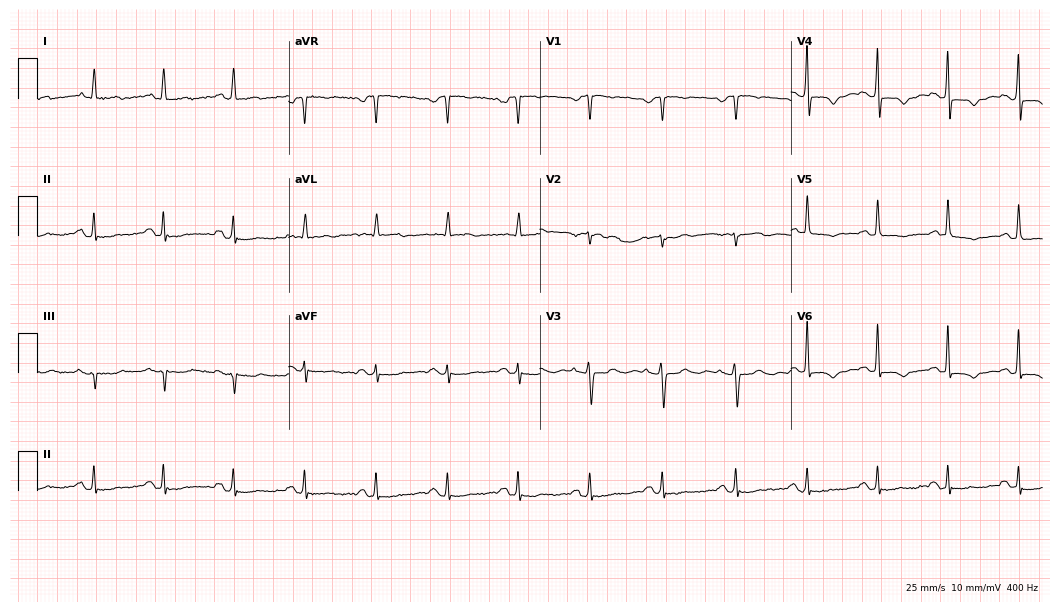
Resting 12-lead electrocardiogram (10.2-second recording at 400 Hz). Patient: a female, 62 years old. None of these six findings is recorded: first-degree AV block, right bundle branch block (RBBB), left bundle branch block (LBBB), sinus bradycardia, atrial fibrillation (AF), sinus tachycardia. Only these six findings were labelled.